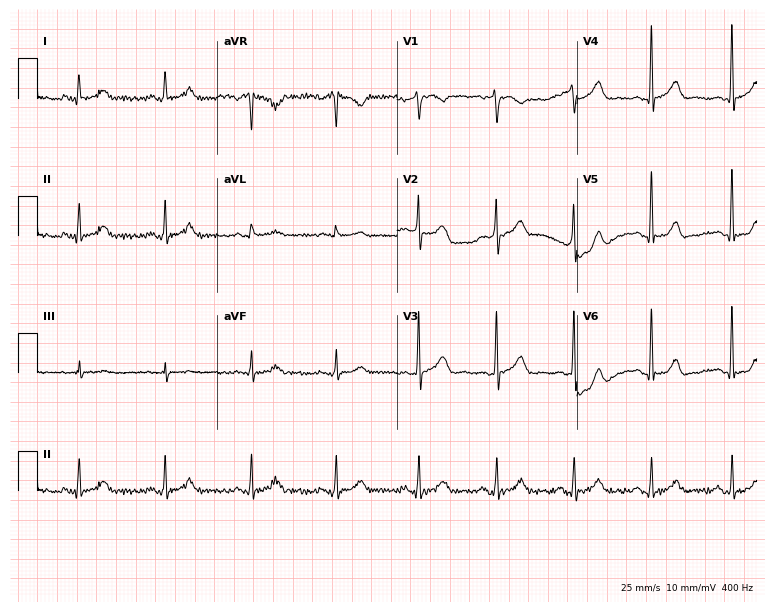
ECG (7.3-second recording at 400 Hz) — a 53-year-old man. Labelled as a normal ECG.